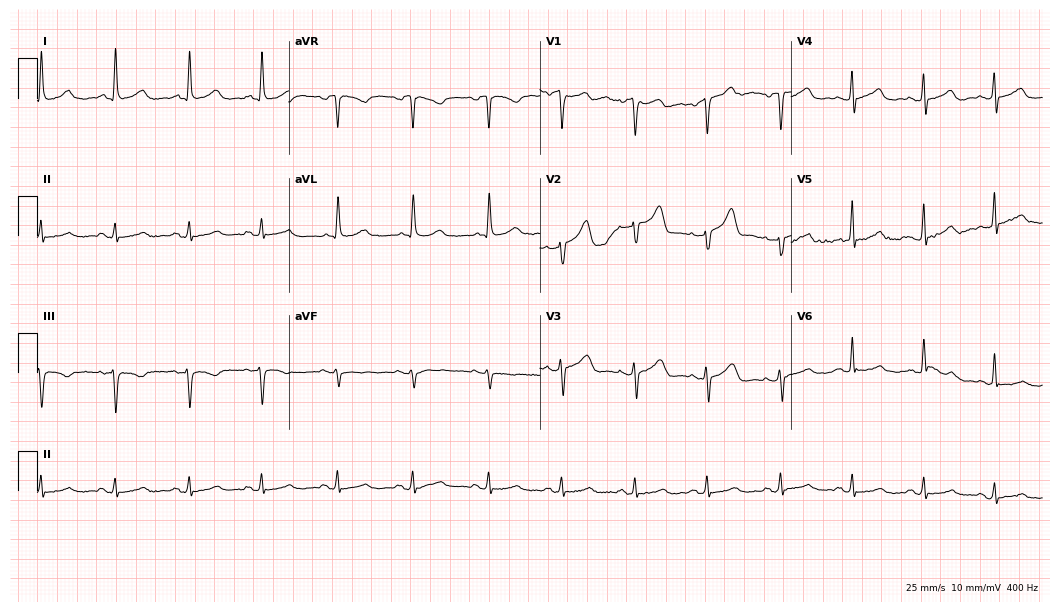
Standard 12-lead ECG recorded from a male patient, 73 years old. None of these six findings is recorded: first-degree AV block, right bundle branch block, left bundle branch block, sinus bradycardia, atrial fibrillation, sinus tachycardia.